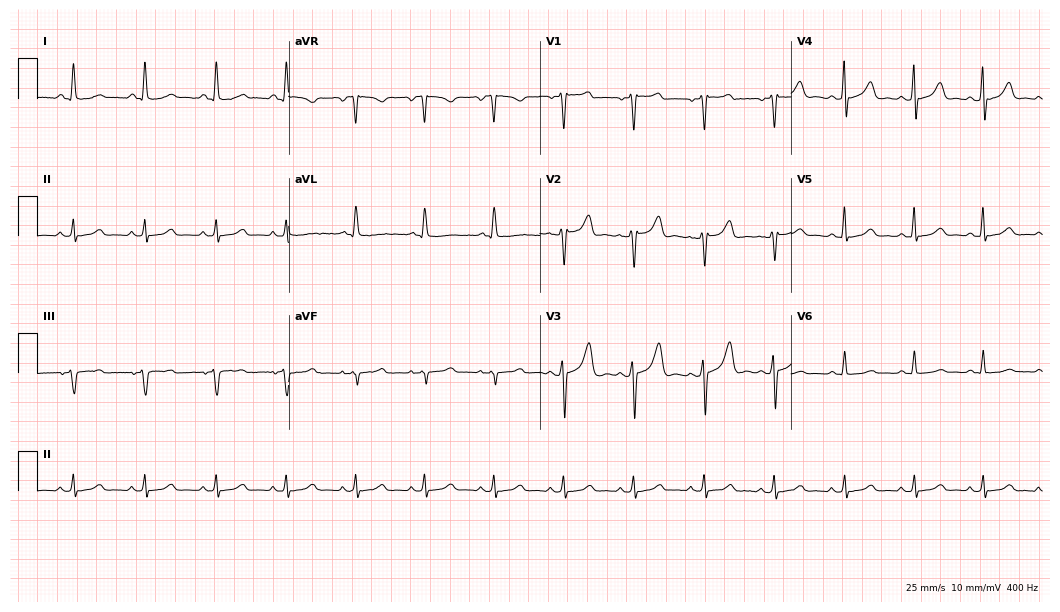
Electrocardiogram, a female patient, 36 years old. Of the six screened findings (first-degree AV block, right bundle branch block (RBBB), left bundle branch block (LBBB), sinus bradycardia, atrial fibrillation (AF), sinus tachycardia), none is recorded. Only these six findings were labelled.